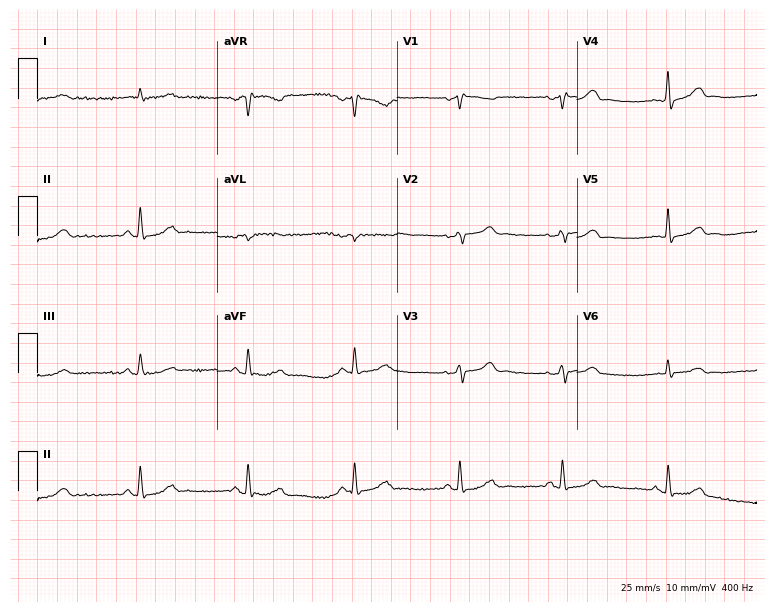
Standard 12-lead ECG recorded from a man, 75 years old. None of these six findings is recorded: first-degree AV block, right bundle branch block (RBBB), left bundle branch block (LBBB), sinus bradycardia, atrial fibrillation (AF), sinus tachycardia. Other findings, if any, are not listed.